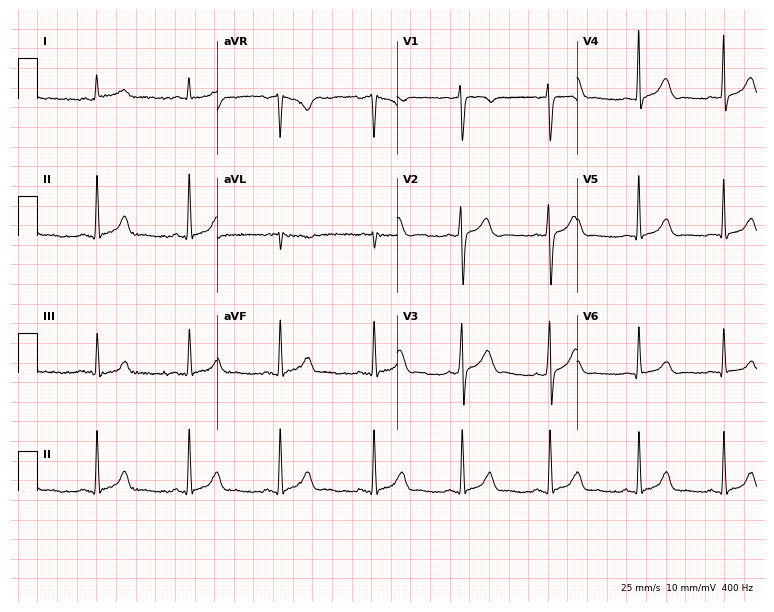
12-lead ECG (7.3-second recording at 400 Hz) from a male patient, 38 years old. Labelled as a normal ECG.